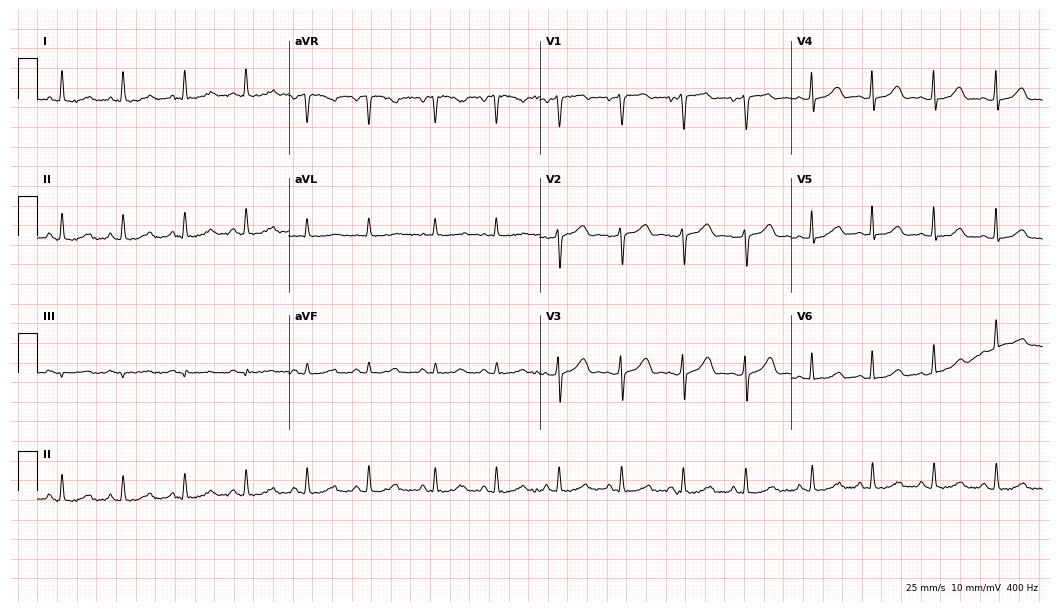
12-lead ECG (10.2-second recording at 400 Hz) from a woman, 67 years old. Screened for six findings — first-degree AV block, right bundle branch block, left bundle branch block, sinus bradycardia, atrial fibrillation, sinus tachycardia — none is recorded. Other findings, if any, are not listed.